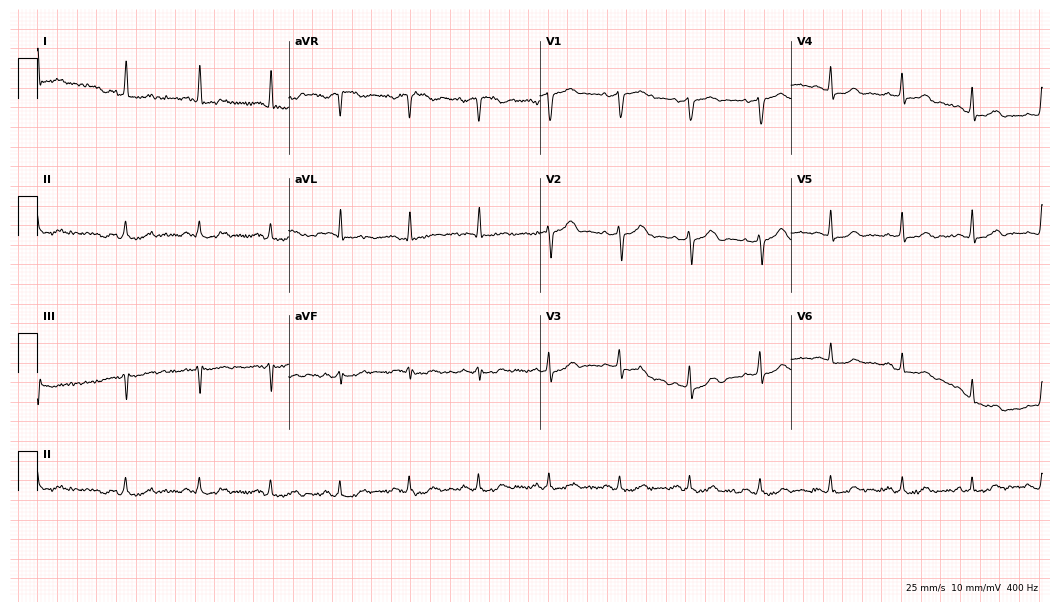
12-lead ECG (10.2-second recording at 400 Hz) from an 84-year-old male patient. Labelled as a normal ECG.